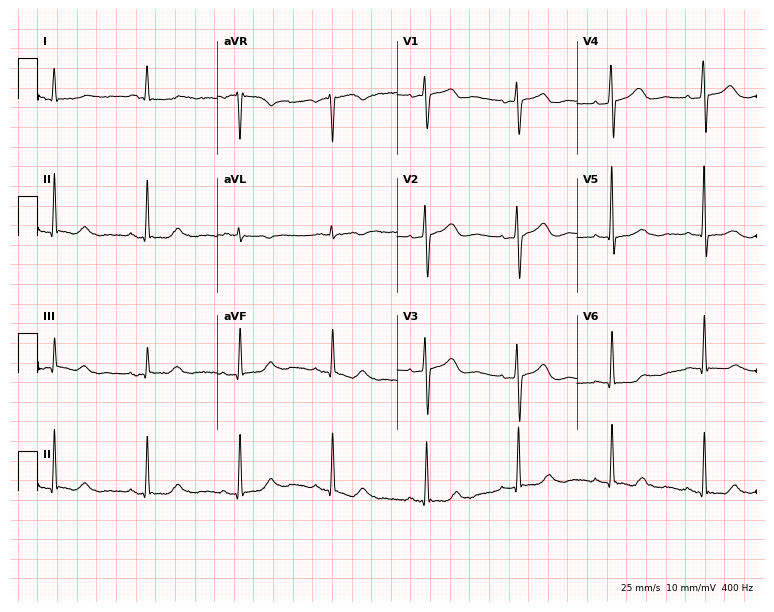
12-lead ECG (7.3-second recording at 400 Hz) from an 80-year-old female. Screened for six findings — first-degree AV block, right bundle branch block, left bundle branch block, sinus bradycardia, atrial fibrillation, sinus tachycardia — none is recorded.